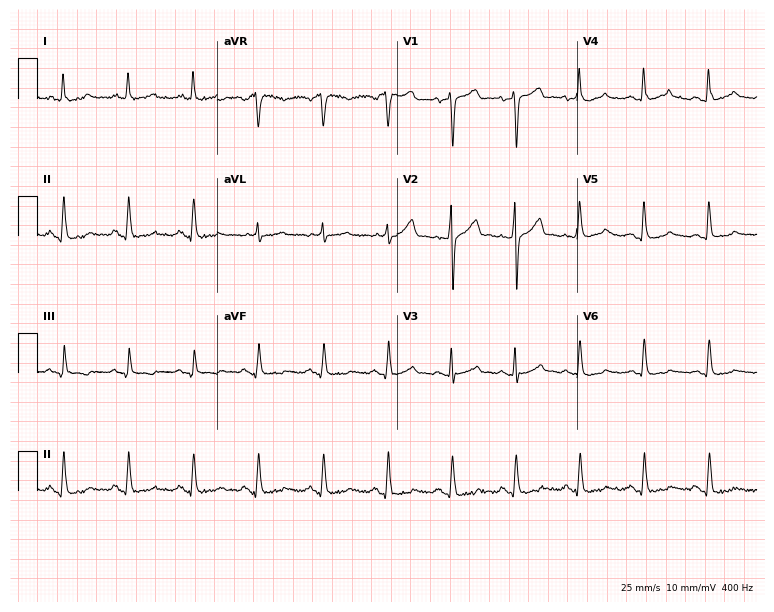
Resting 12-lead electrocardiogram (7.3-second recording at 400 Hz). Patient: a man, 64 years old. Read as a normal ECG.